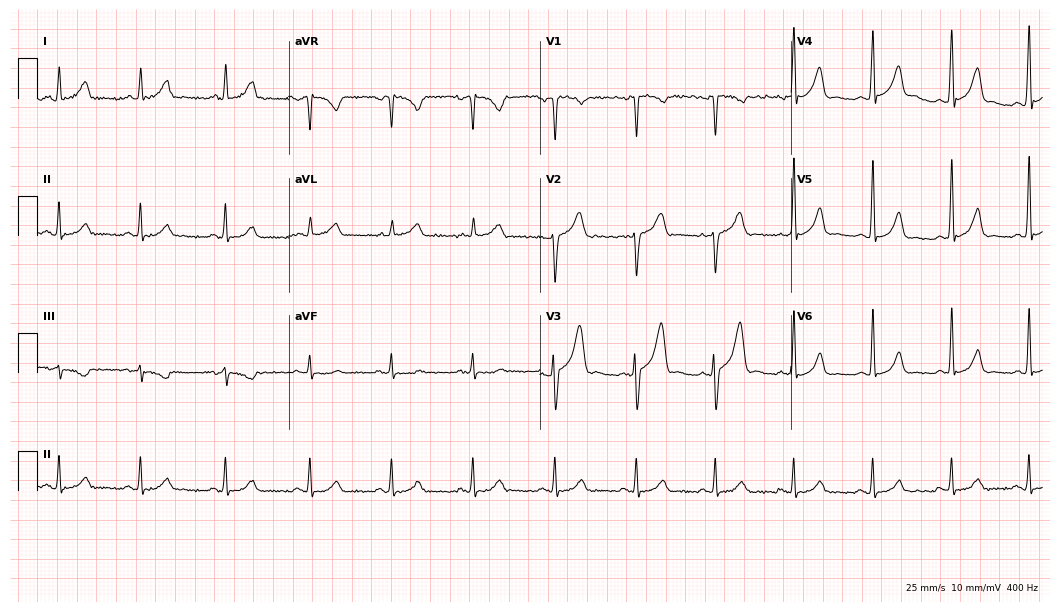
Resting 12-lead electrocardiogram. Patient: a male, 43 years old. Read as a normal ECG.